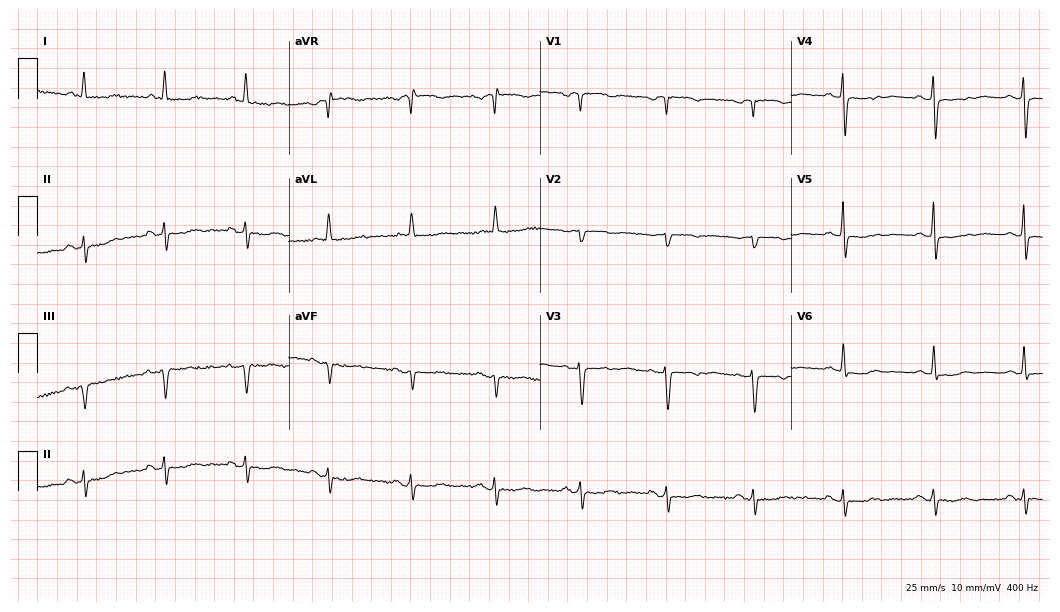
12-lead ECG from a female, 78 years old (10.2-second recording at 400 Hz). No first-degree AV block, right bundle branch block (RBBB), left bundle branch block (LBBB), sinus bradycardia, atrial fibrillation (AF) or sinus tachycardia recorded for this tracing. Other findings, if any, are not listed.